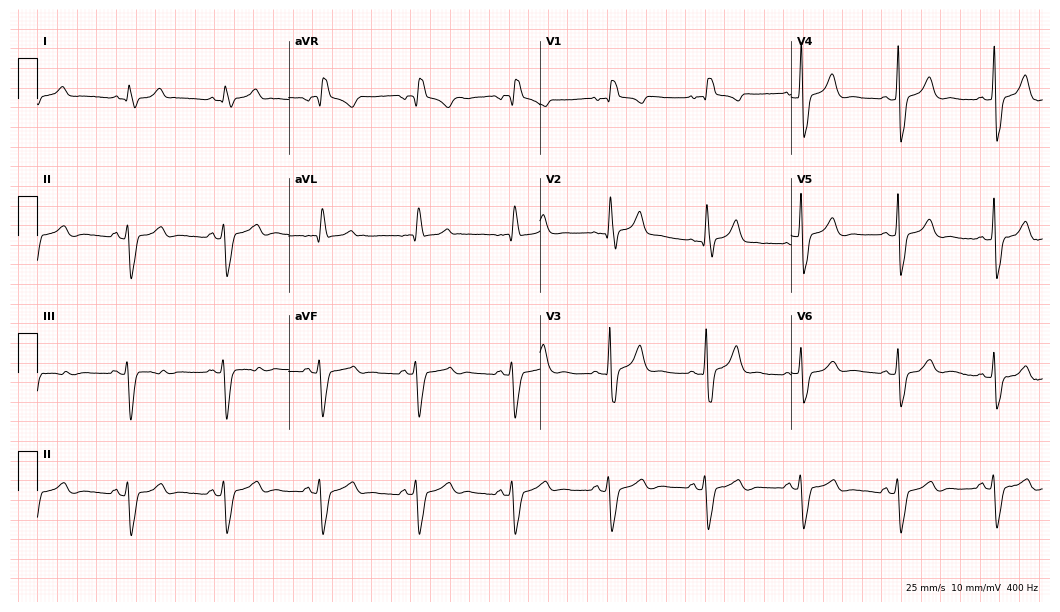
12-lead ECG (10.2-second recording at 400 Hz) from a male, 49 years old. Findings include right bundle branch block.